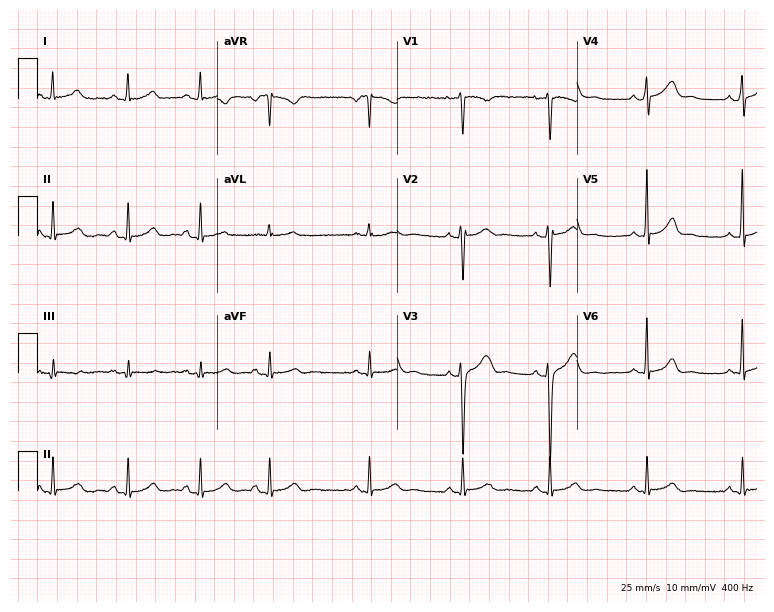
Resting 12-lead electrocardiogram. Patient: a 22-year-old female. Read as a normal ECG.